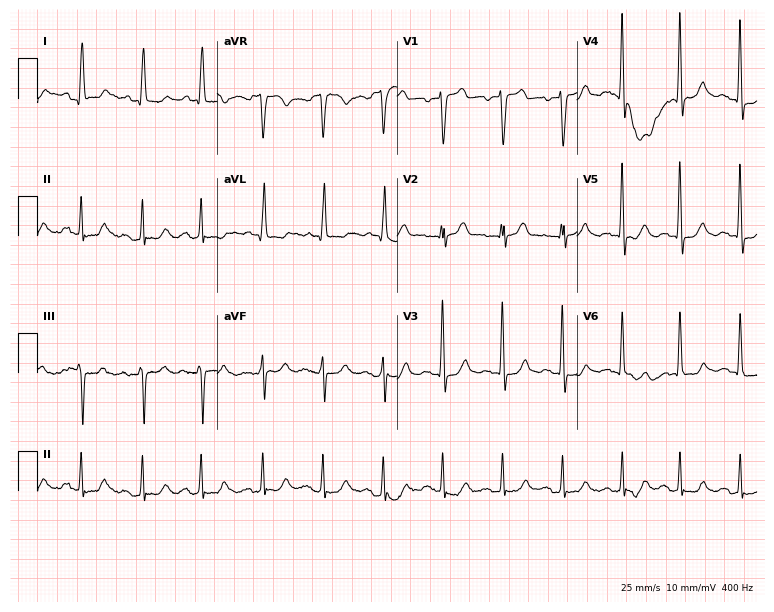
Resting 12-lead electrocardiogram (7.3-second recording at 400 Hz). Patient: a male, 84 years old. None of these six findings is recorded: first-degree AV block, right bundle branch block (RBBB), left bundle branch block (LBBB), sinus bradycardia, atrial fibrillation (AF), sinus tachycardia. Only these six findings were labelled.